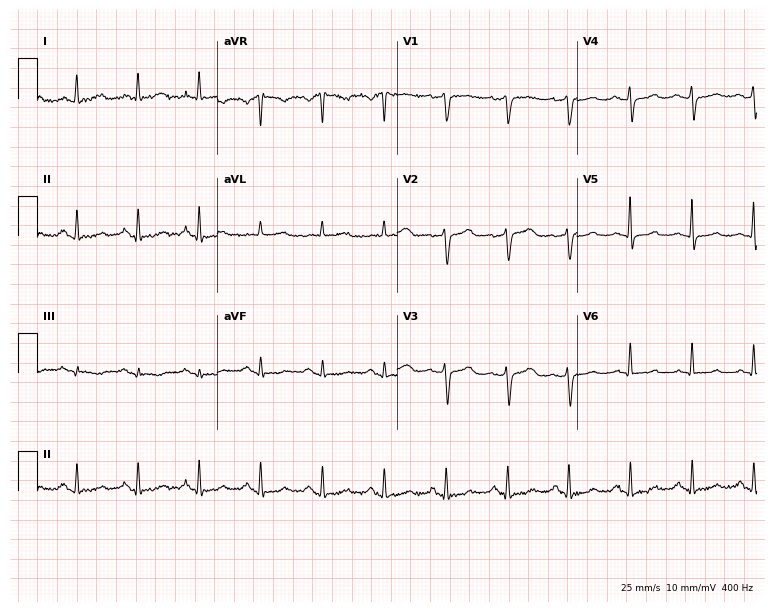
12-lead ECG from a 65-year-old female. Labelled as a normal ECG.